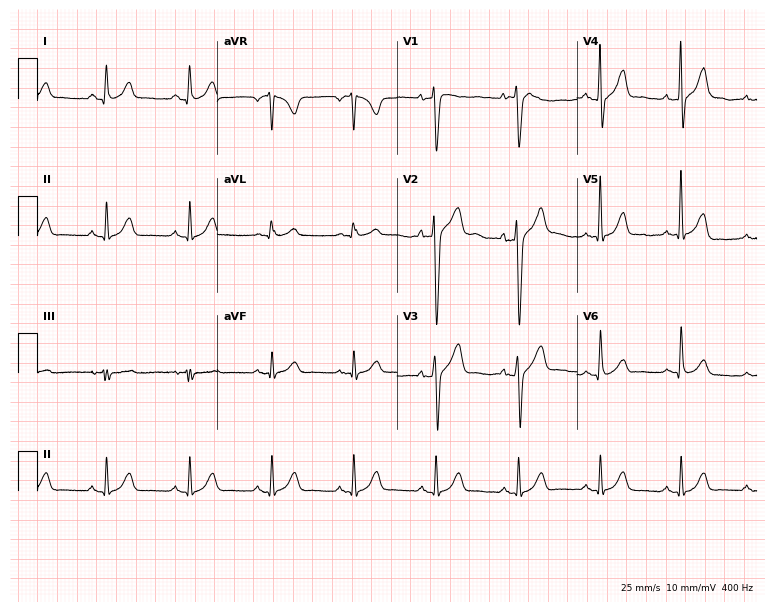
Resting 12-lead electrocardiogram (7.3-second recording at 400 Hz). Patient: a man, 48 years old. None of these six findings is recorded: first-degree AV block, right bundle branch block (RBBB), left bundle branch block (LBBB), sinus bradycardia, atrial fibrillation (AF), sinus tachycardia. Only these six findings were labelled.